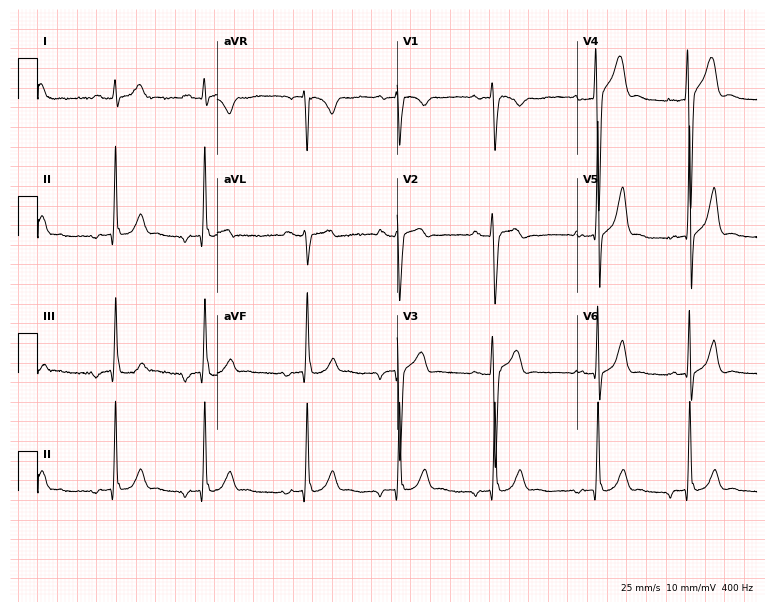
Resting 12-lead electrocardiogram (7.3-second recording at 400 Hz). Patient: a 35-year-old male. None of these six findings is recorded: first-degree AV block, right bundle branch block (RBBB), left bundle branch block (LBBB), sinus bradycardia, atrial fibrillation (AF), sinus tachycardia.